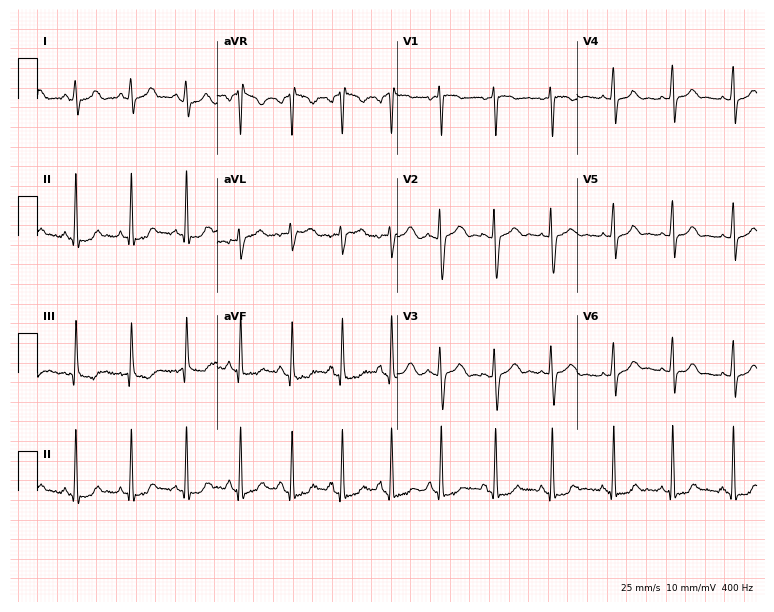
12-lead ECG from a 21-year-old female patient (7.3-second recording at 400 Hz). Shows sinus tachycardia (a sinus rate of 100 beats per minute or more).